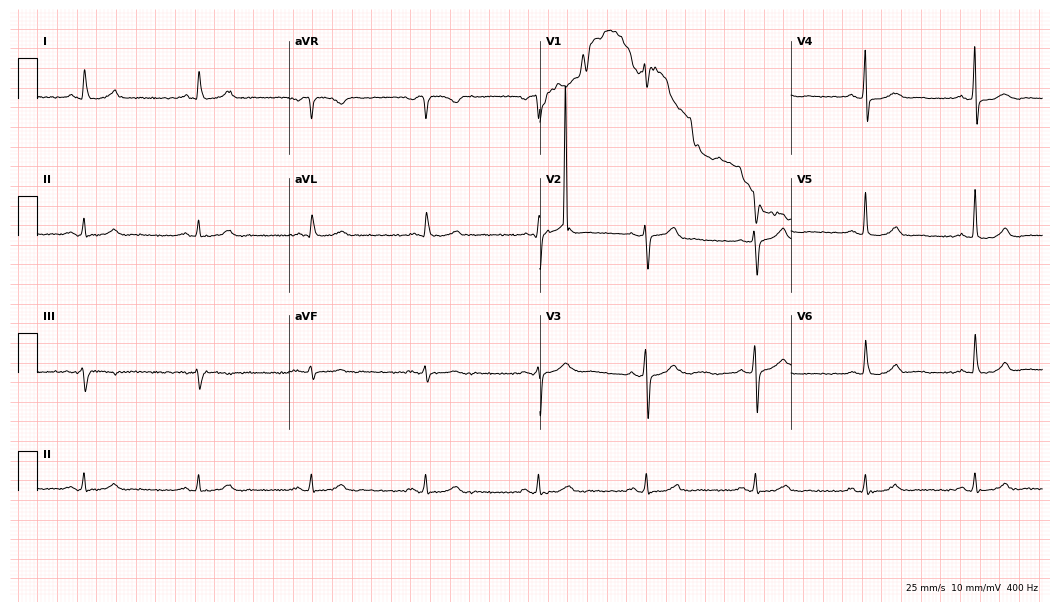
12-lead ECG from a man, 60 years old. No first-degree AV block, right bundle branch block (RBBB), left bundle branch block (LBBB), sinus bradycardia, atrial fibrillation (AF) or sinus tachycardia recorded for this tracing. Other findings, if any, are not listed.